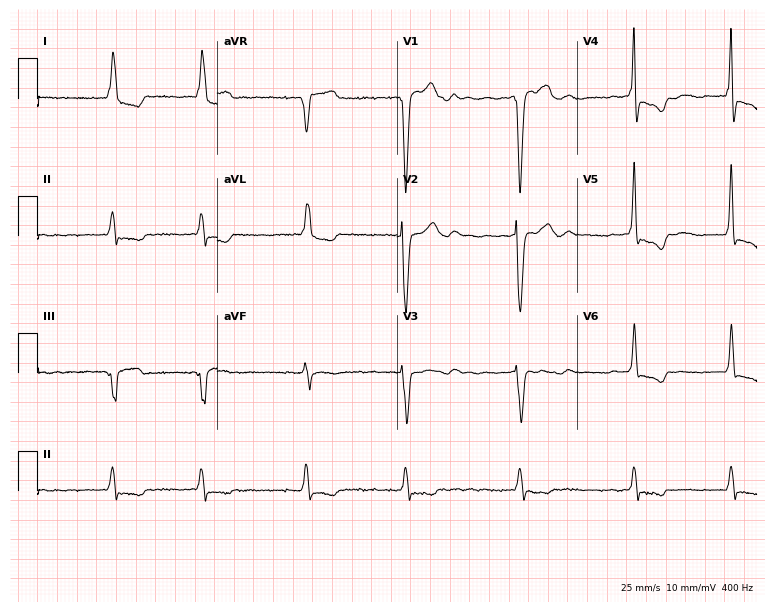
Standard 12-lead ECG recorded from a 70-year-old female patient (7.3-second recording at 400 Hz). The tracing shows atrial fibrillation (AF).